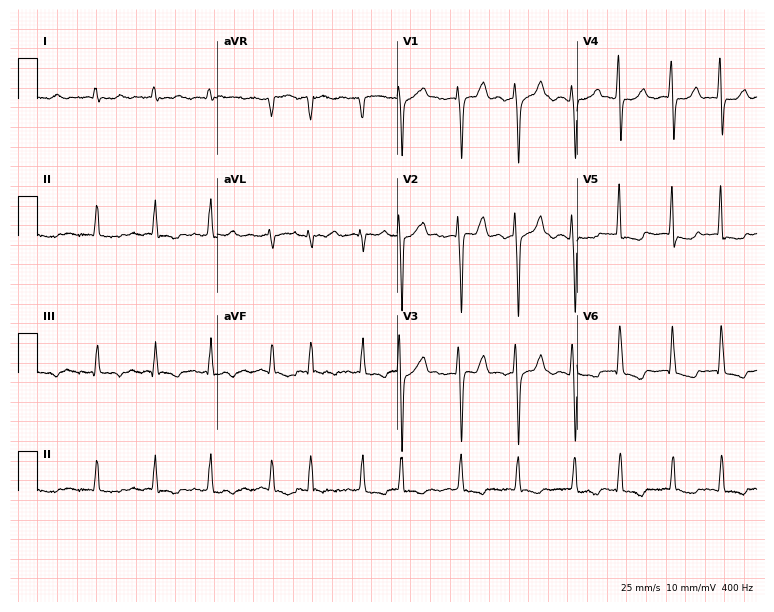
ECG — a female, 75 years old. Findings include atrial fibrillation.